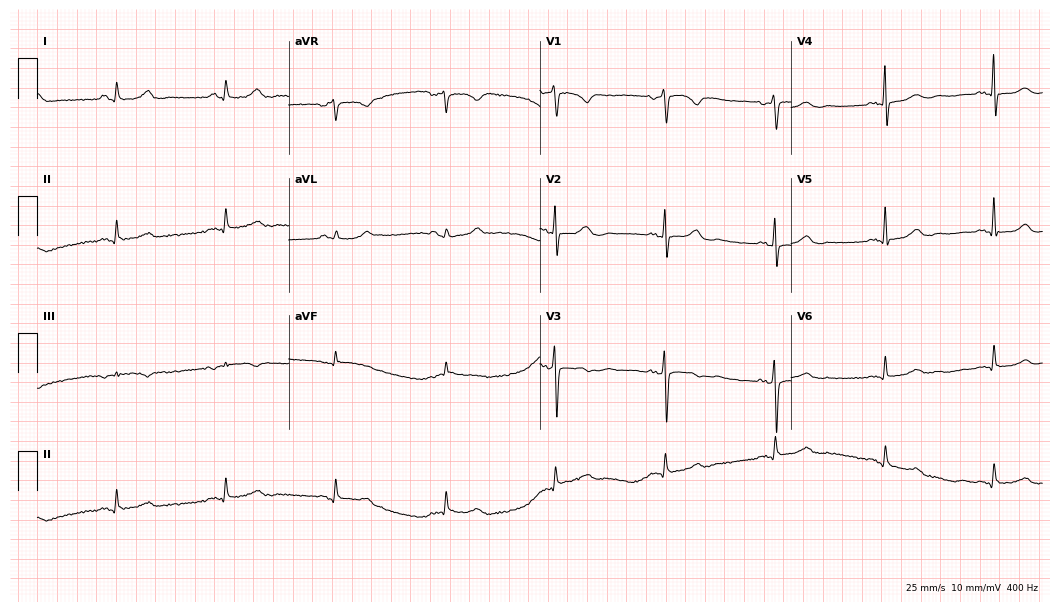
Resting 12-lead electrocardiogram. Patient: a 60-year-old female. Read as a normal ECG.